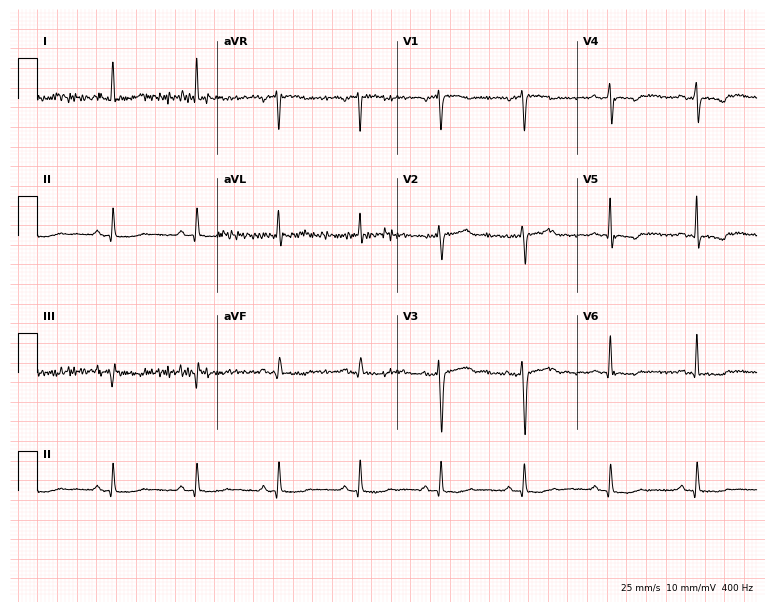
Electrocardiogram, a 52-year-old woman. Of the six screened findings (first-degree AV block, right bundle branch block, left bundle branch block, sinus bradycardia, atrial fibrillation, sinus tachycardia), none is recorded.